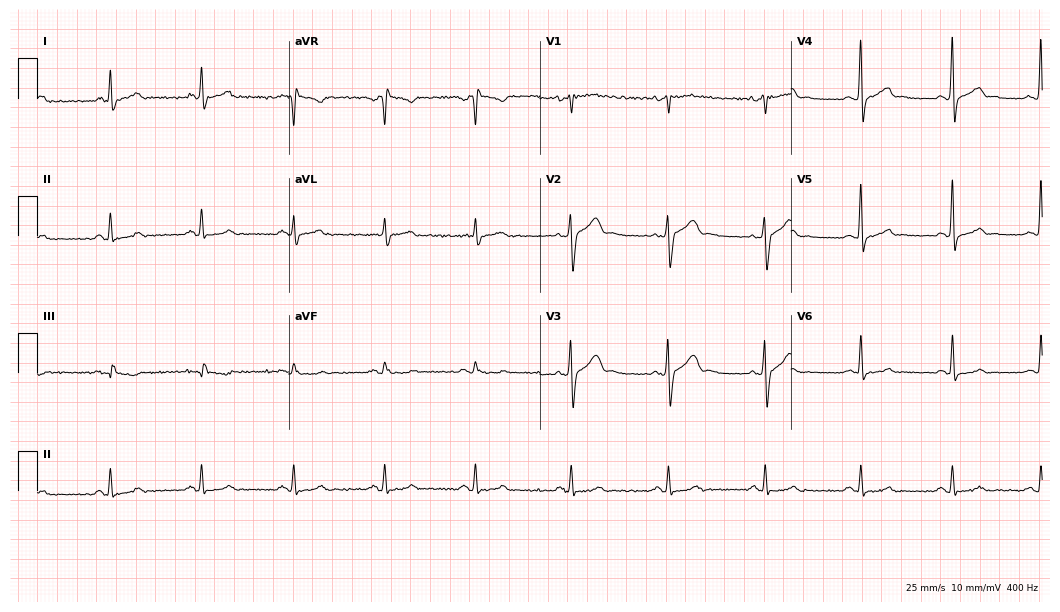
12-lead ECG (10.2-second recording at 400 Hz) from a man, 40 years old. Labelled as a normal ECG.